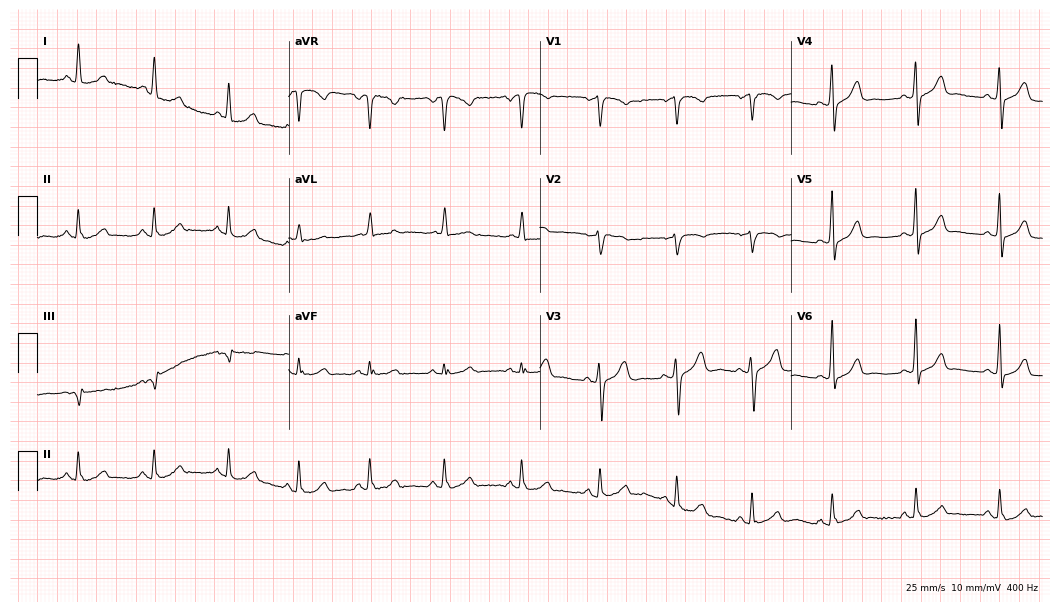
Resting 12-lead electrocardiogram. Patient: a 35-year-old female. None of these six findings is recorded: first-degree AV block, right bundle branch block, left bundle branch block, sinus bradycardia, atrial fibrillation, sinus tachycardia.